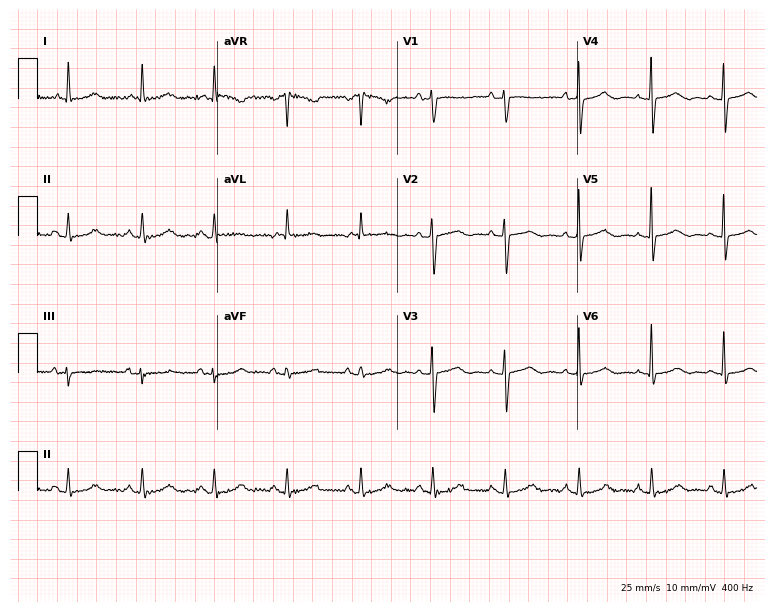
ECG — an 81-year-old woman. Screened for six findings — first-degree AV block, right bundle branch block, left bundle branch block, sinus bradycardia, atrial fibrillation, sinus tachycardia — none is recorded. Only these six findings were labelled.